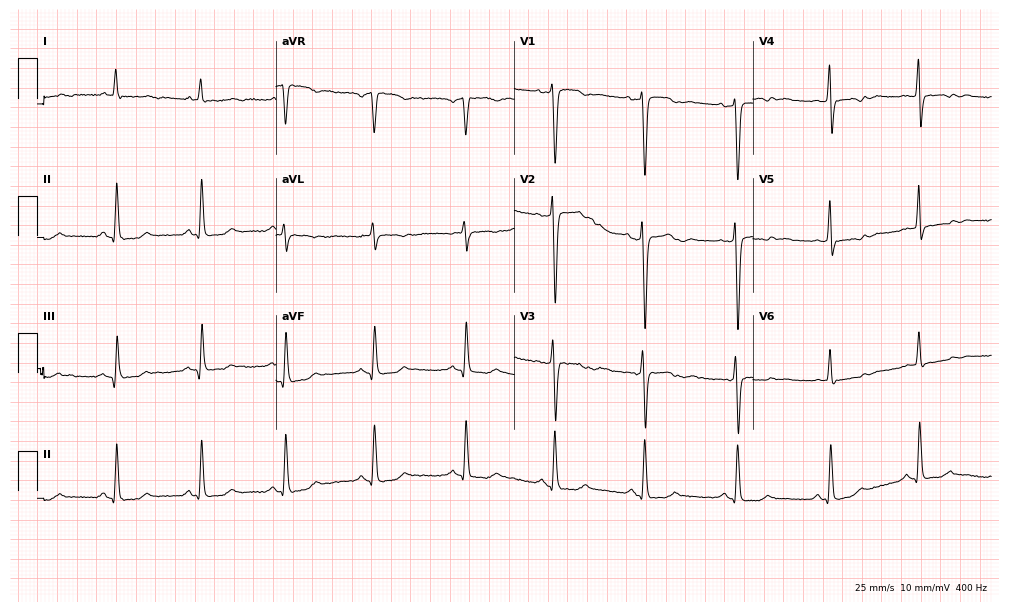
12-lead ECG from a female patient, 34 years old. Recorded interpretation: within normal limits.